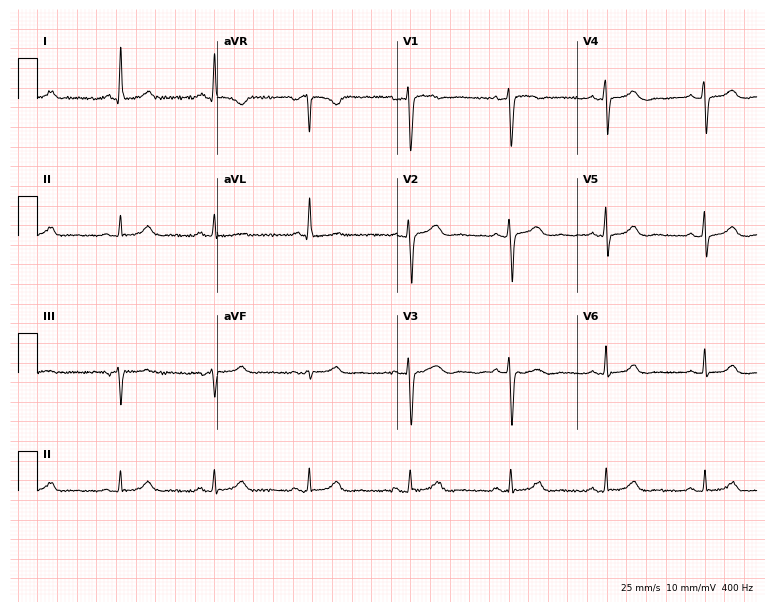
ECG (7.3-second recording at 400 Hz) — a 51-year-old female. Labelled as a normal ECG.